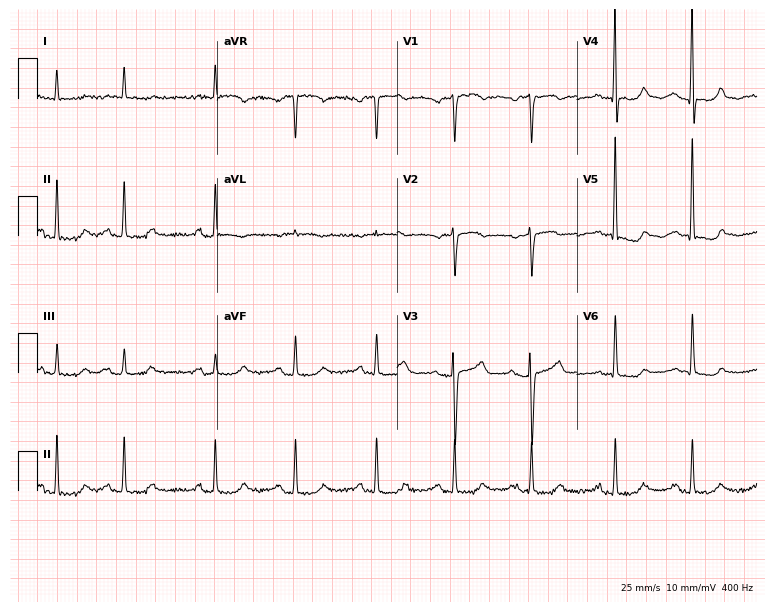
Electrocardiogram, a man, 80 years old. Of the six screened findings (first-degree AV block, right bundle branch block, left bundle branch block, sinus bradycardia, atrial fibrillation, sinus tachycardia), none is recorded.